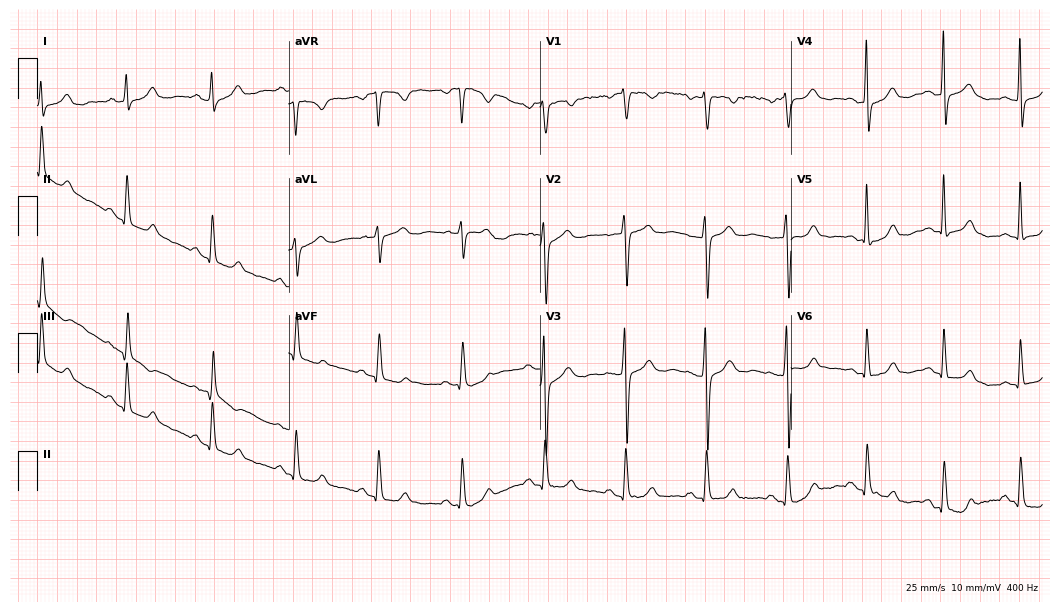
ECG (10.2-second recording at 400 Hz) — a female patient, 61 years old. Labelled as a normal ECG.